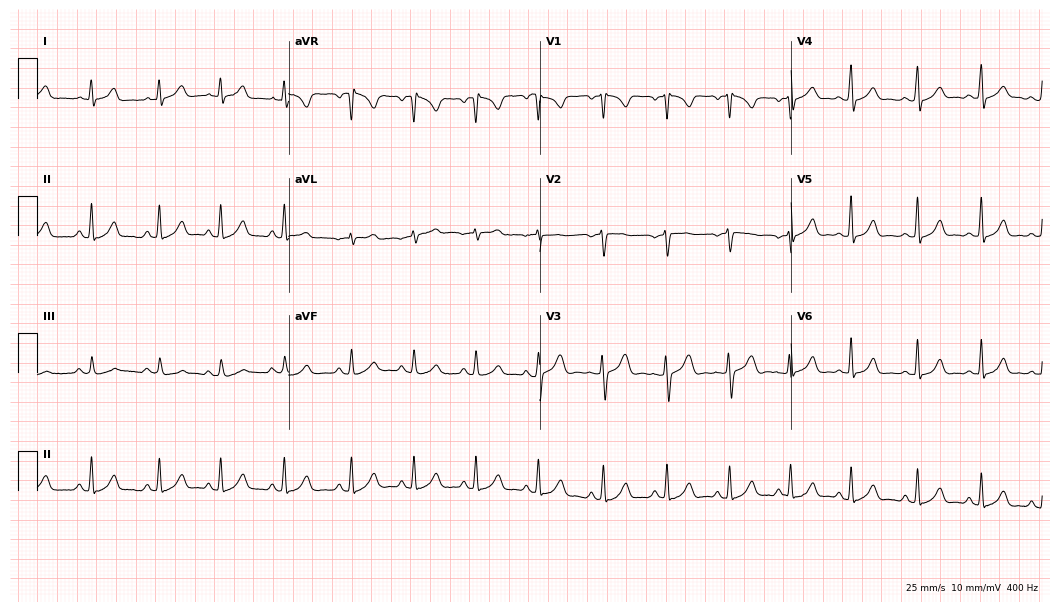
Resting 12-lead electrocardiogram. Patient: a female, 25 years old. None of these six findings is recorded: first-degree AV block, right bundle branch block, left bundle branch block, sinus bradycardia, atrial fibrillation, sinus tachycardia. Findings outside these six are not listed.